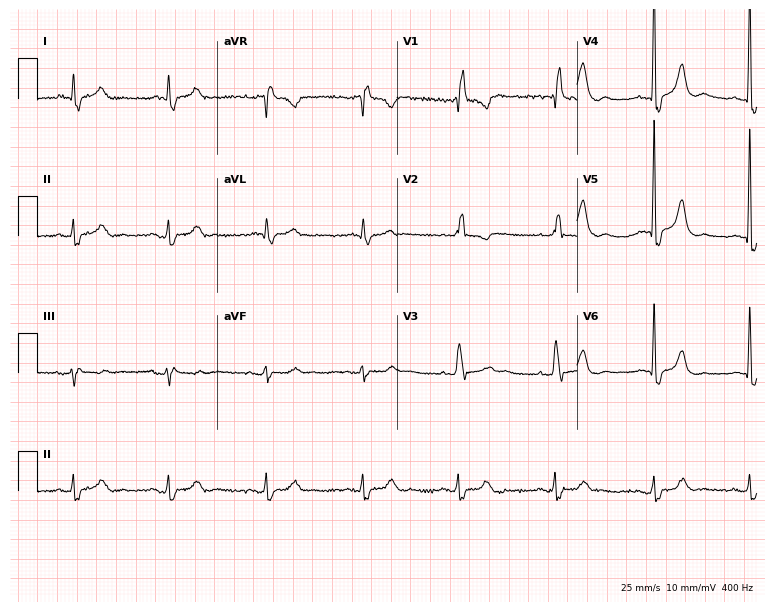
12-lead ECG (7.3-second recording at 400 Hz) from a 79-year-old man. Findings include right bundle branch block.